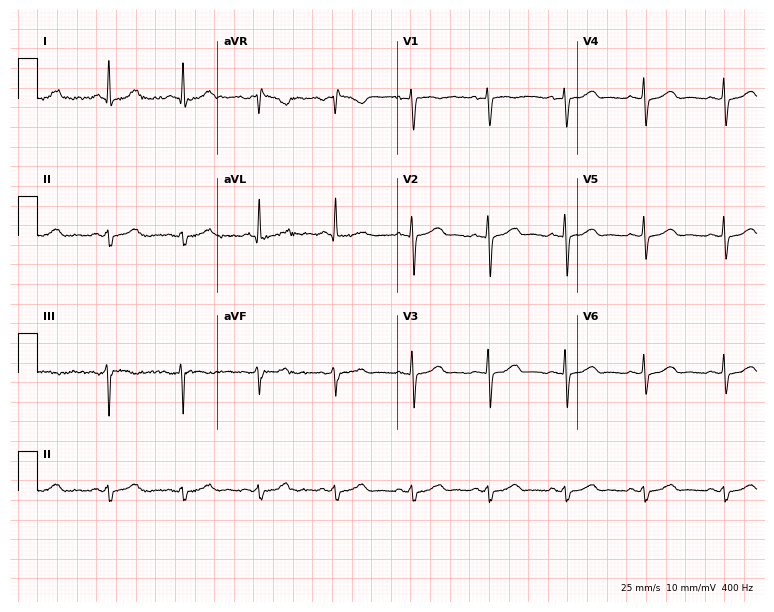
Standard 12-lead ECG recorded from a female, 54 years old. None of these six findings is recorded: first-degree AV block, right bundle branch block, left bundle branch block, sinus bradycardia, atrial fibrillation, sinus tachycardia. Findings outside these six are not listed.